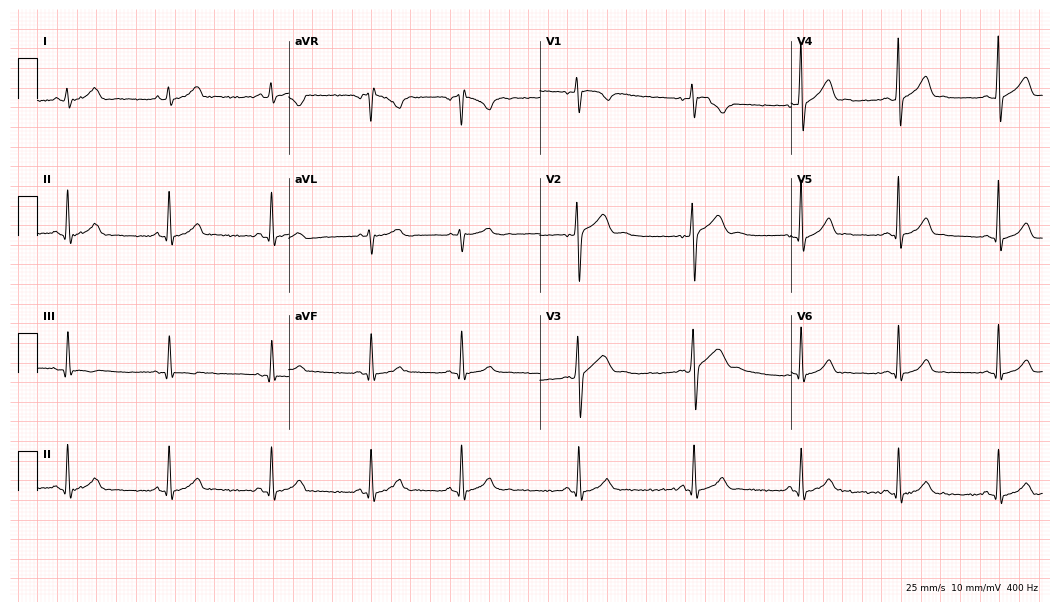
Electrocardiogram, a 26-year-old man. Overall reading on record: normal ECG.